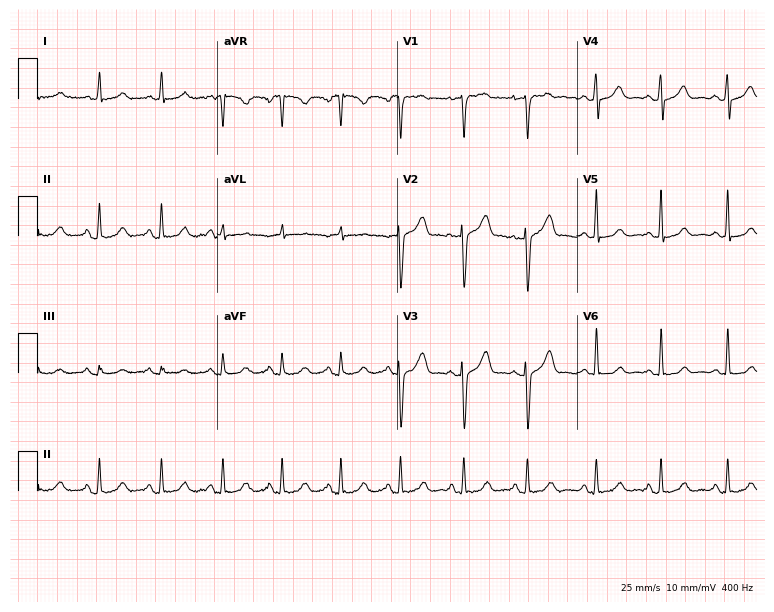
ECG (7.3-second recording at 400 Hz) — a 51-year-old woman. Labelled as a normal ECG.